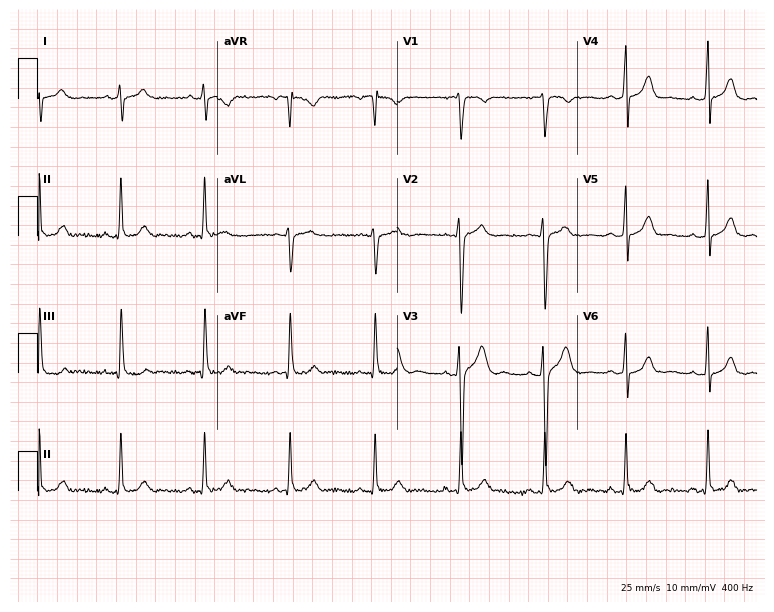
ECG — a man, 40 years old. Screened for six findings — first-degree AV block, right bundle branch block (RBBB), left bundle branch block (LBBB), sinus bradycardia, atrial fibrillation (AF), sinus tachycardia — none is recorded. Findings outside these six are not listed.